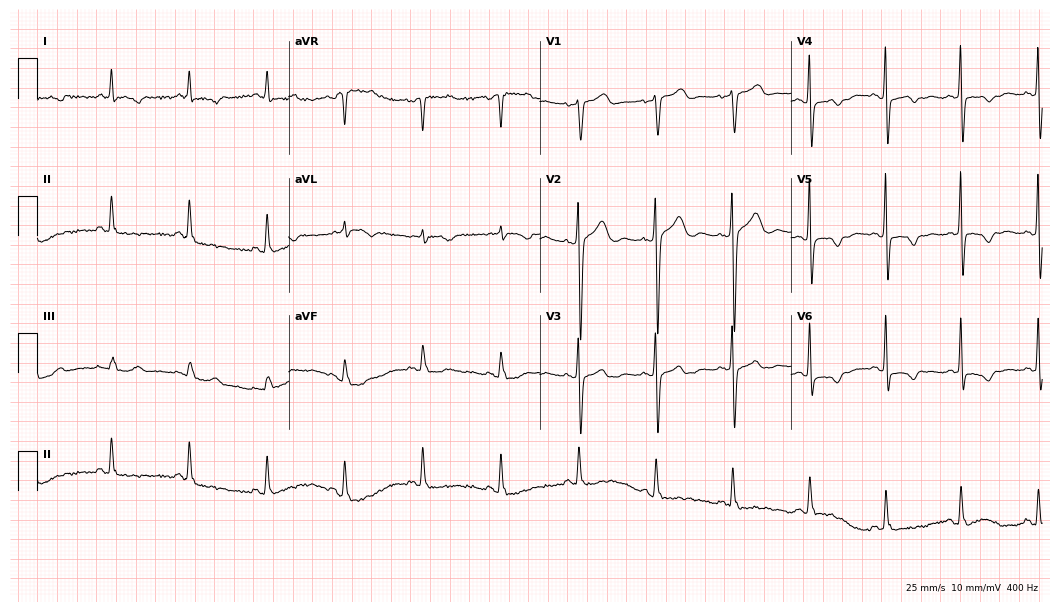
Resting 12-lead electrocardiogram (10.2-second recording at 400 Hz). Patient: a 75-year-old female. None of these six findings is recorded: first-degree AV block, right bundle branch block, left bundle branch block, sinus bradycardia, atrial fibrillation, sinus tachycardia.